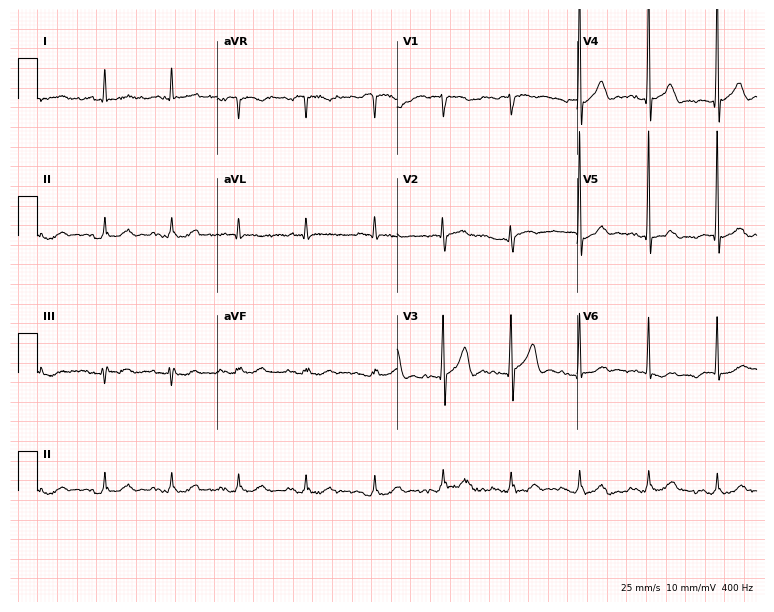
Electrocardiogram (7.3-second recording at 400 Hz), a male, 74 years old. Overall reading on record: normal ECG.